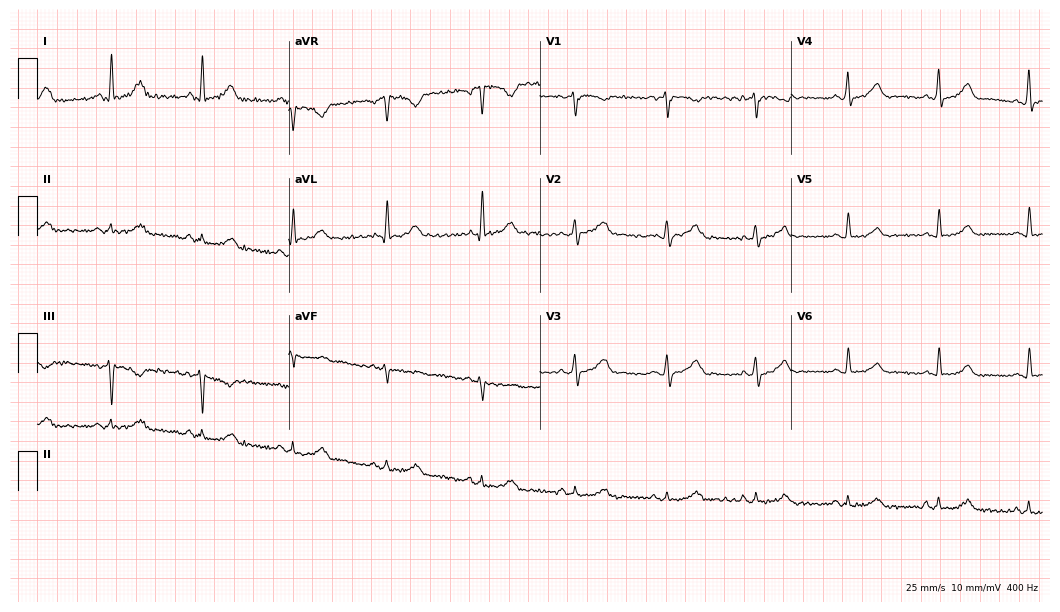
12-lead ECG from a 57-year-old female (10.2-second recording at 400 Hz). Recorded interpretation: within normal limits.